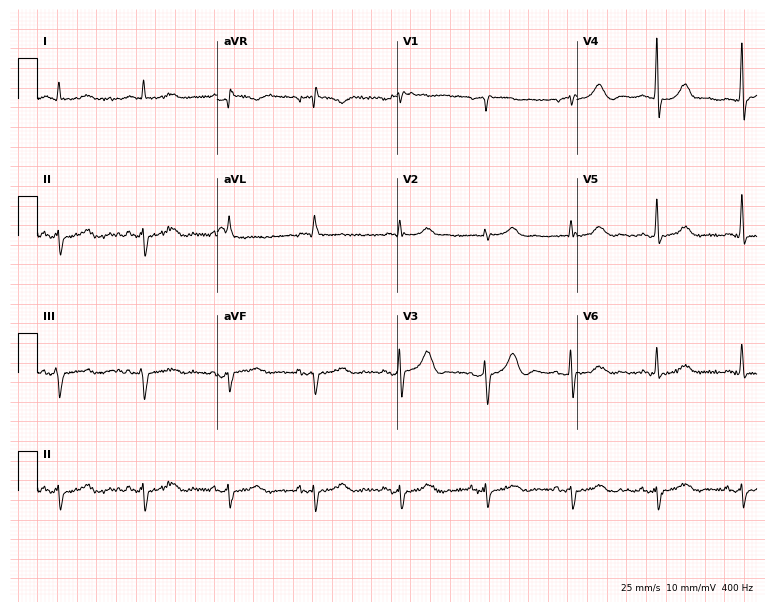
ECG (7.3-second recording at 400 Hz) — a man, 75 years old. Screened for six findings — first-degree AV block, right bundle branch block, left bundle branch block, sinus bradycardia, atrial fibrillation, sinus tachycardia — none is recorded. Other findings, if any, are not listed.